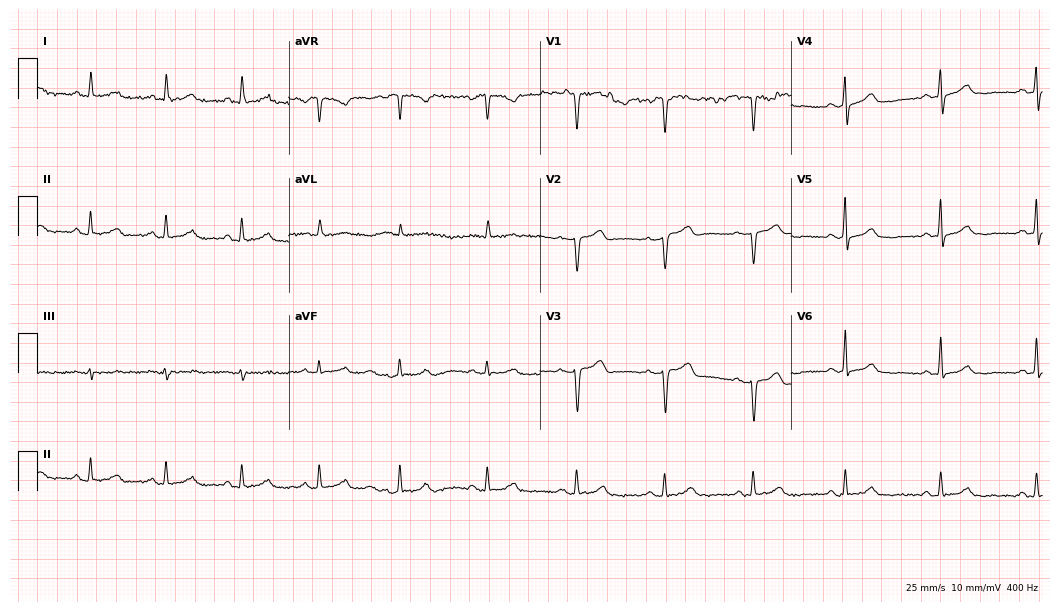
12-lead ECG from a 59-year-old female. Recorded interpretation: within normal limits.